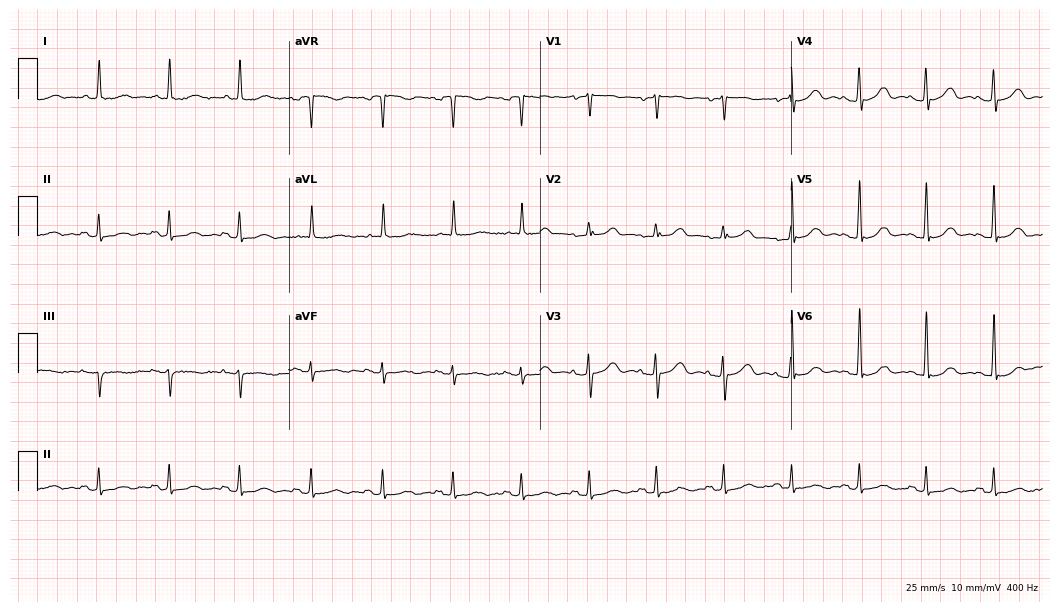
ECG (10.2-second recording at 400 Hz) — a 57-year-old female. Screened for six findings — first-degree AV block, right bundle branch block (RBBB), left bundle branch block (LBBB), sinus bradycardia, atrial fibrillation (AF), sinus tachycardia — none is recorded. Other findings, if any, are not listed.